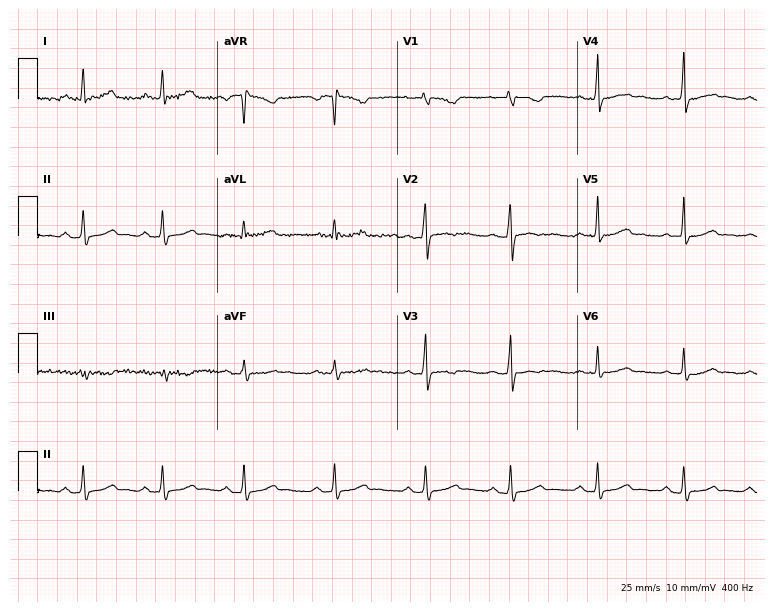
Standard 12-lead ECG recorded from a 27-year-old female (7.3-second recording at 400 Hz). None of these six findings is recorded: first-degree AV block, right bundle branch block, left bundle branch block, sinus bradycardia, atrial fibrillation, sinus tachycardia. Other findings, if any, are not listed.